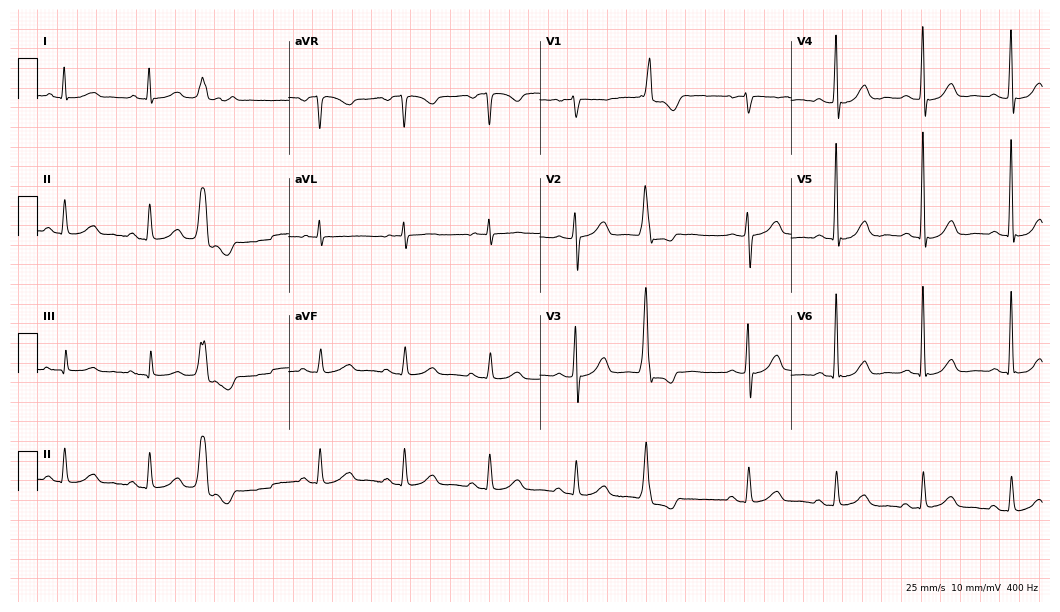
12-lead ECG from a 76-year-old female patient. No first-degree AV block, right bundle branch block, left bundle branch block, sinus bradycardia, atrial fibrillation or sinus tachycardia recorded for this tracing. Only these six findings were labelled.